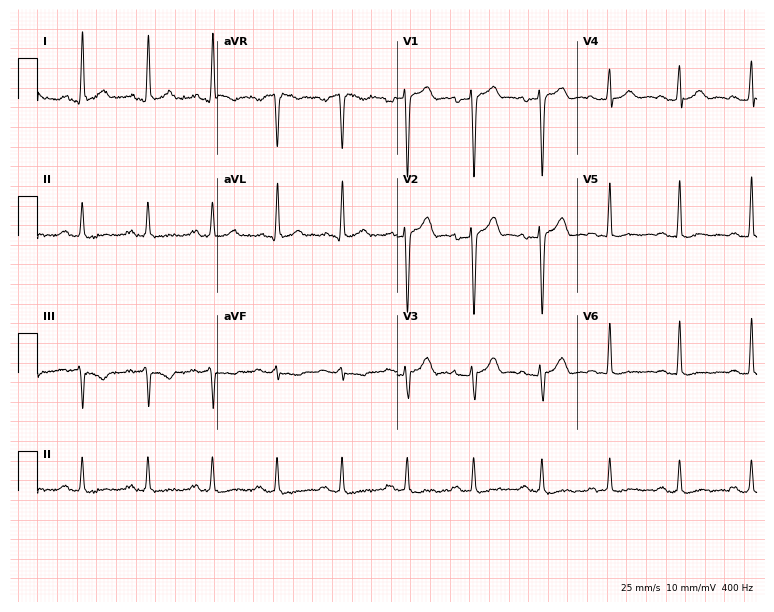
Electrocardiogram (7.3-second recording at 400 Hz), a 32-year-old male patient. Of the six screened findings (first-degree AV block, right bundle branch block (RBBB), left bundle branch block (LBBB), sinus bradycardia, atrial fibrillation (AF), sinus tachycardia), none is recorded.